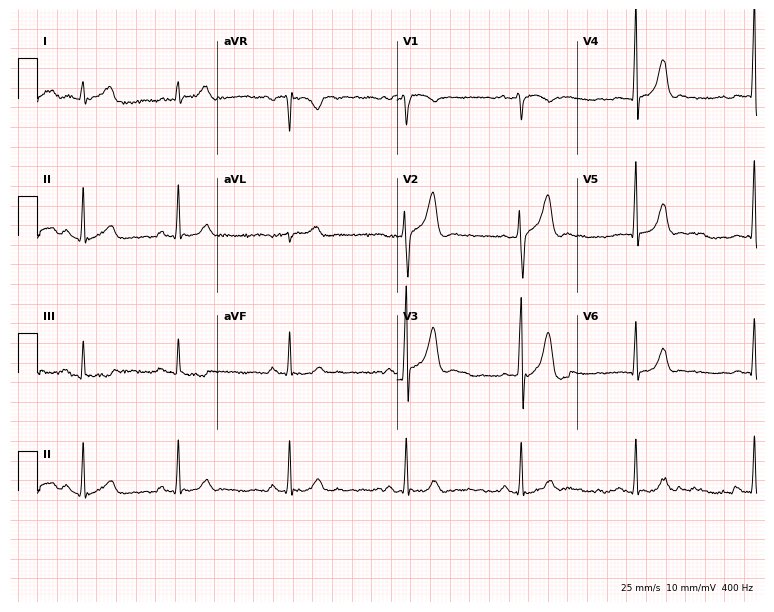
12-lead ECG from a 52-year-old male. Labelled as a normal ECG.